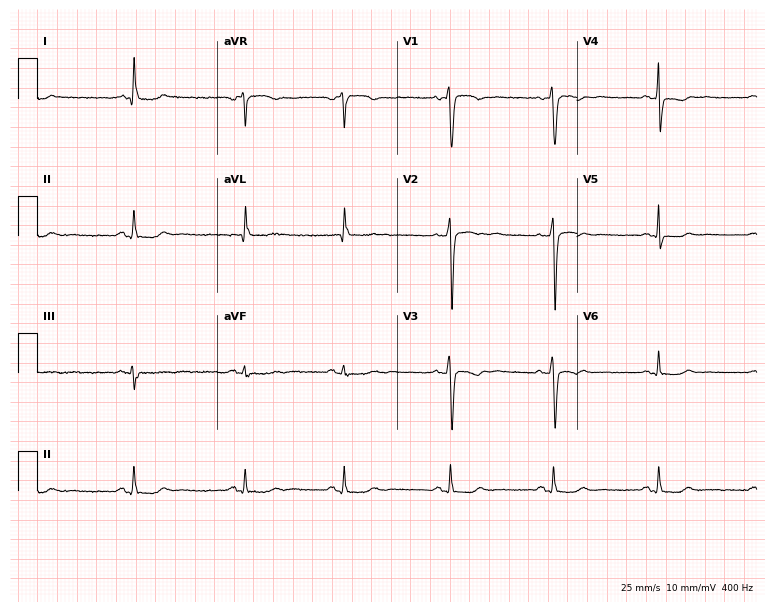
Resting 12-lead electrocardiogram. Patient: a 32-year-old woman. None of these six findings is recorded: first-degree AV block, right bundle branch block, left bundle branch block, sinus bradycardia, atrial fibrillation, sinus tachycardia.